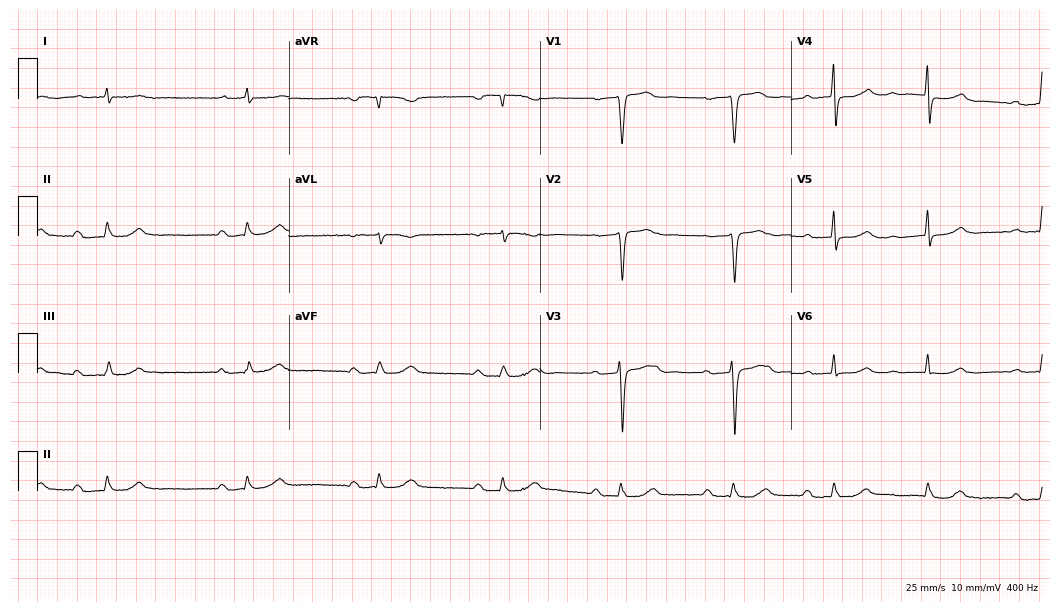
Electrocardiogram, a male patient, 82 years old. Interpretation includes first-degree AV block.